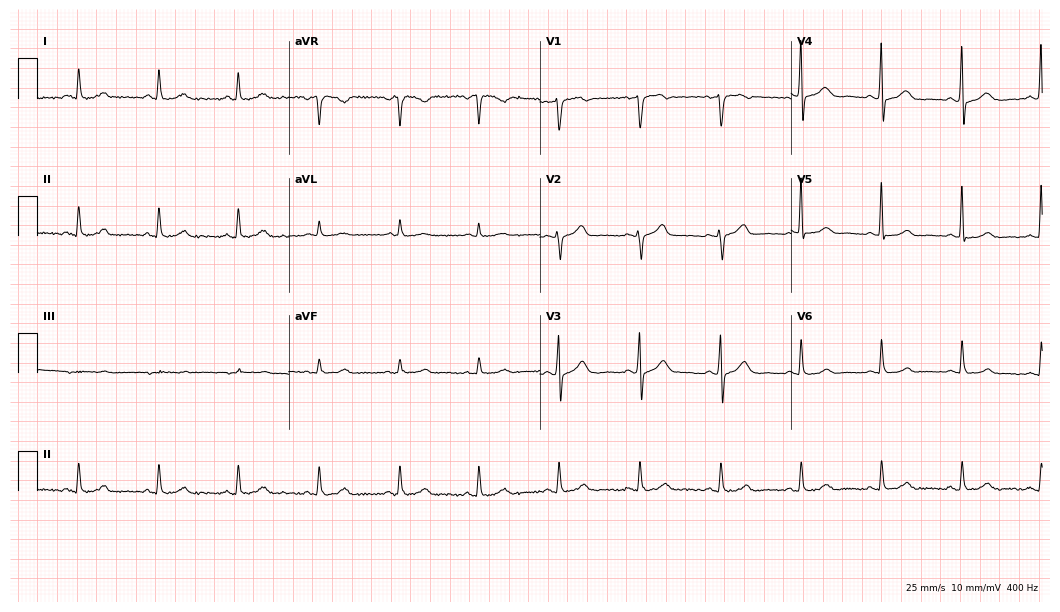
ECG (10.2-second recording at 400 Hz) — a 59-year-old female patient. Labelled as a normal ECG.